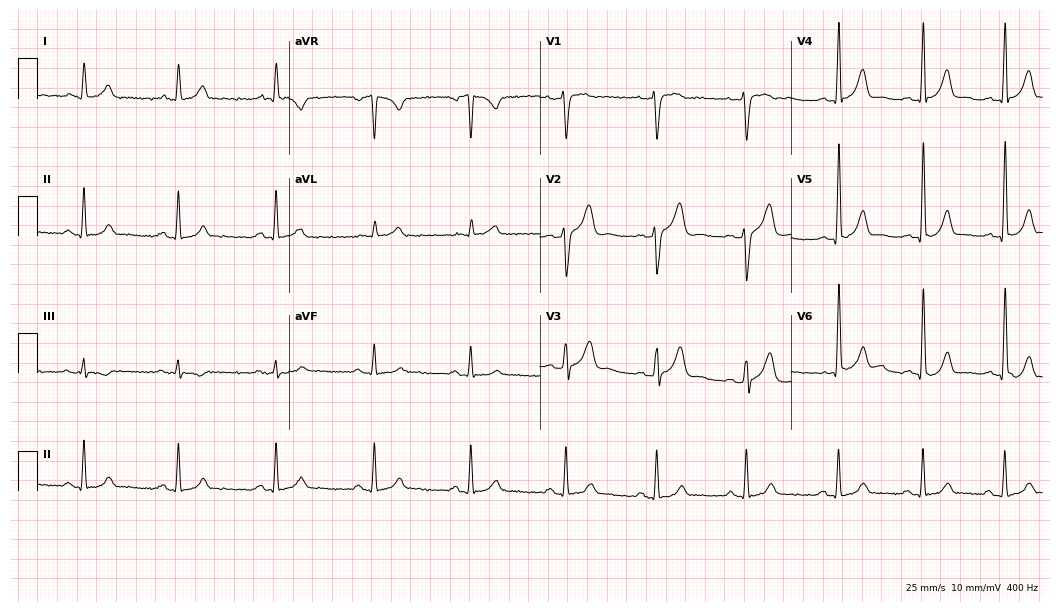
Standard 12-lead ECG recorded from a 36-year-old male (10.2-second recording at 400 Hz). None of these six findings is recorded: first-degree AV block, right bundle branch block (RBBB), left bundle branch block (LBBB), sinus bradycardia, atrial fibrillation (AF), sinus tachycardia.